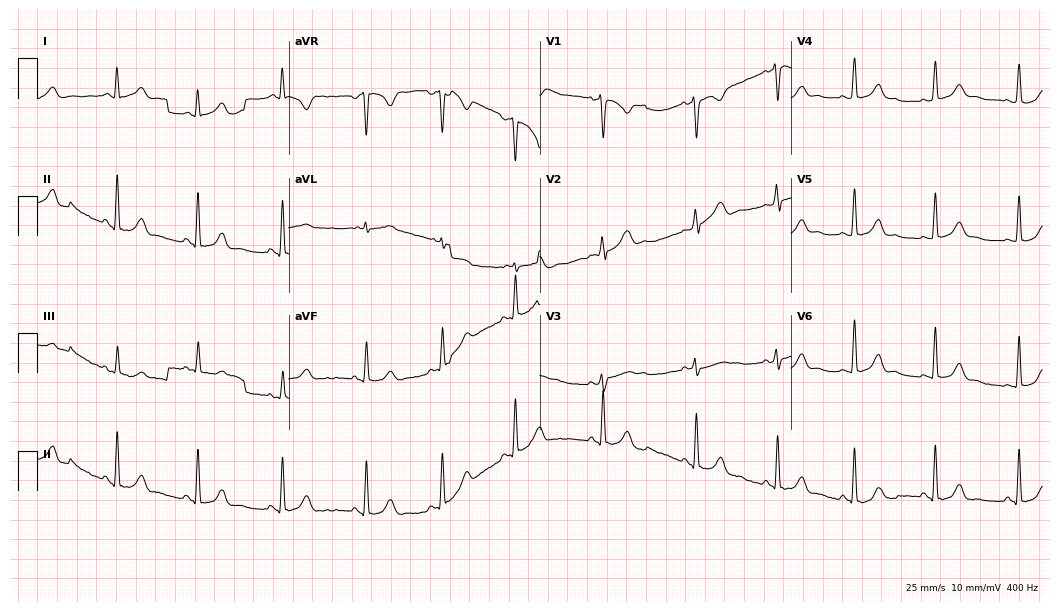
Resting 12-lead electrocardiogram. Patient: a female, 22 years old. Read as a normal ECG.